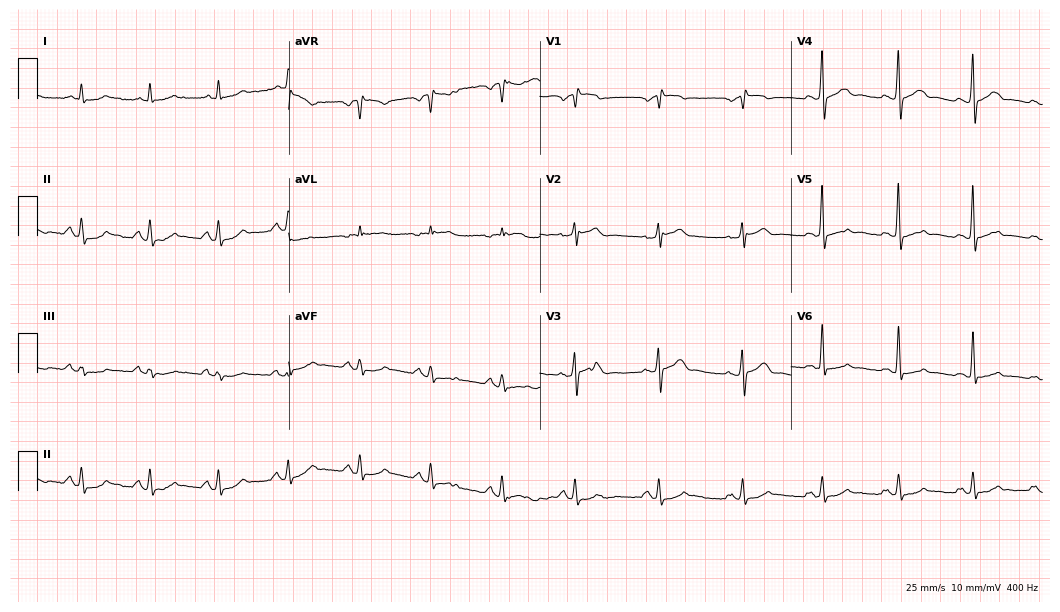
Electrocardiogram (10.2-second recording at 400 Hz), a 68-year-old male. Of the six screened findings (first-degree AV block, right bundle branch block (RBBB), left bundle branch block (LBBB), sinus bradycardia, atrial fibrillation (AF), sinus tachycardia), none is recorded. Findings outside these six are not listed.